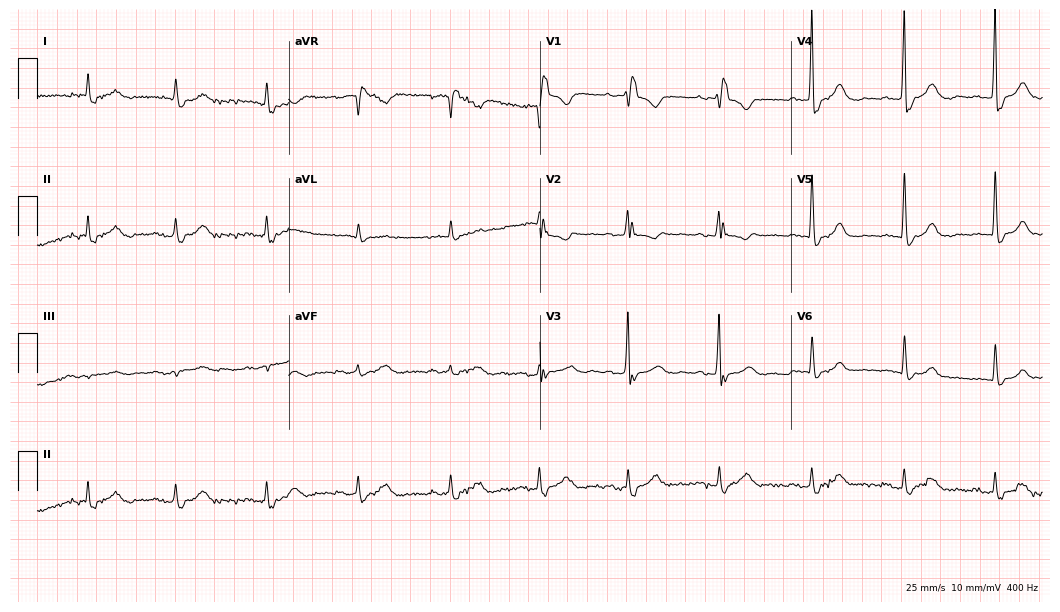
ECG — a female patient, 77 years old. Findings include right bundle branch block (RBBB).